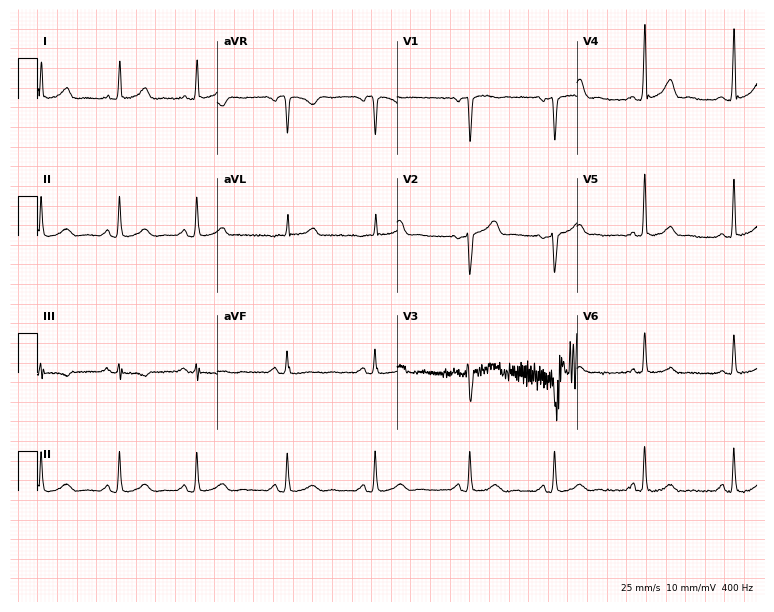
12-lead ECG from a 52-year-old female (7.3-second recording at 400 Hz). No first-degree AV block, right bundle branch block, left bundle branch block, sinus bradycardia, atrial fibrillation or sinus tachycardia recorded for this tracing.